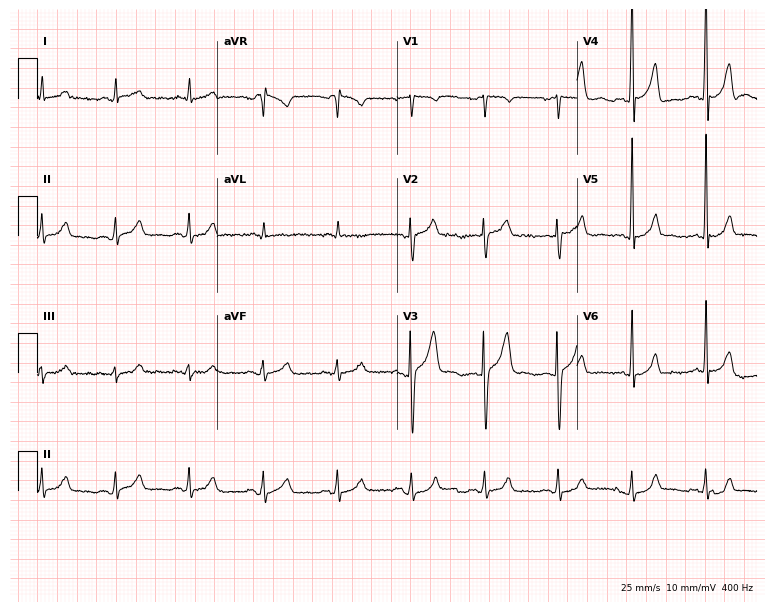
ECG — a 51-year-old man. Labelled as a normal ECG.